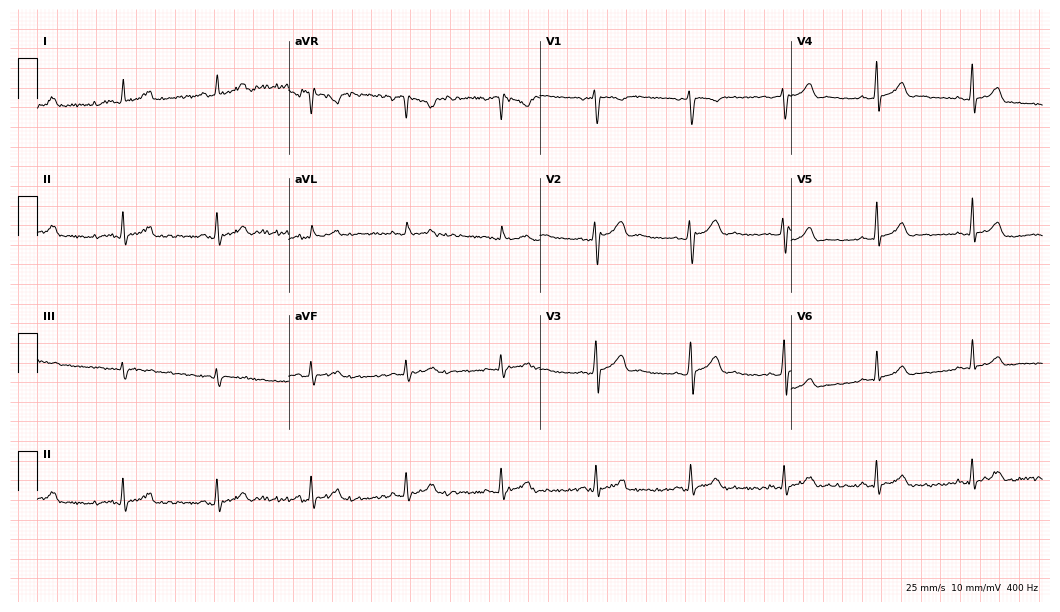
12-lead ECG from a man, 24 years old. No first-degree AV block, right bundle branch block (RBBB), left bundle branch block (LBBB), sinus bradycardia, atrial fibrillation (AF) or sinus tachycardia recorded for this tracing. Only these six findings were labelled.